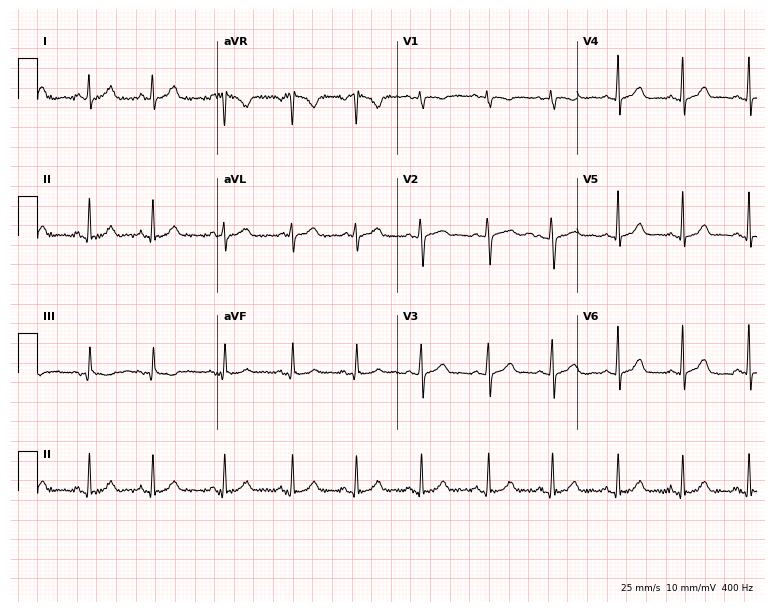
12-lead ECG from a female, 45 years old. No first-degree AV block, right bundle branch block, left bundle branch block, sinus bradycardia, atrial fibrillation or sinus tachycardia recorded for this tracing.